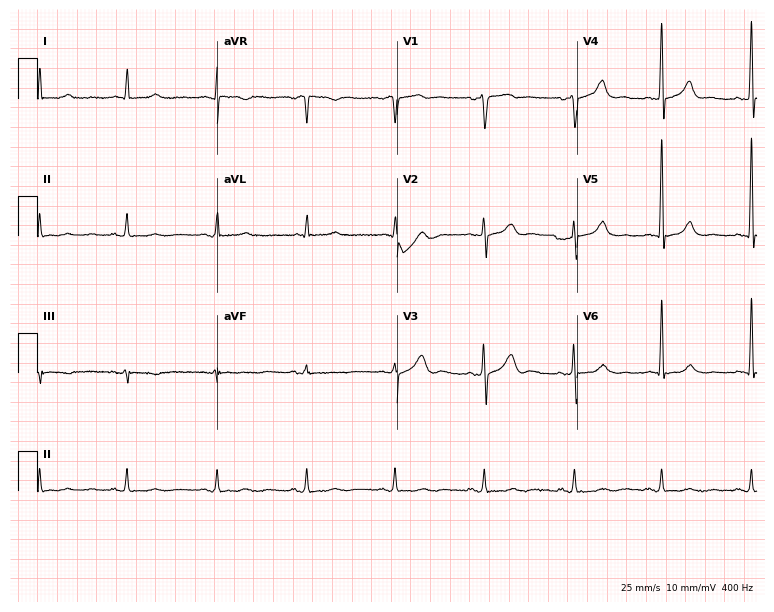
ECG (7.3-second recording at 400 Hz) — a 63-year-old male. Screened for six findings — first-degree AV block, right bundle branch block, left bundle branch block, sinus bradycardia, atrial fibrillation, sinus tachycardia — none is recorded.